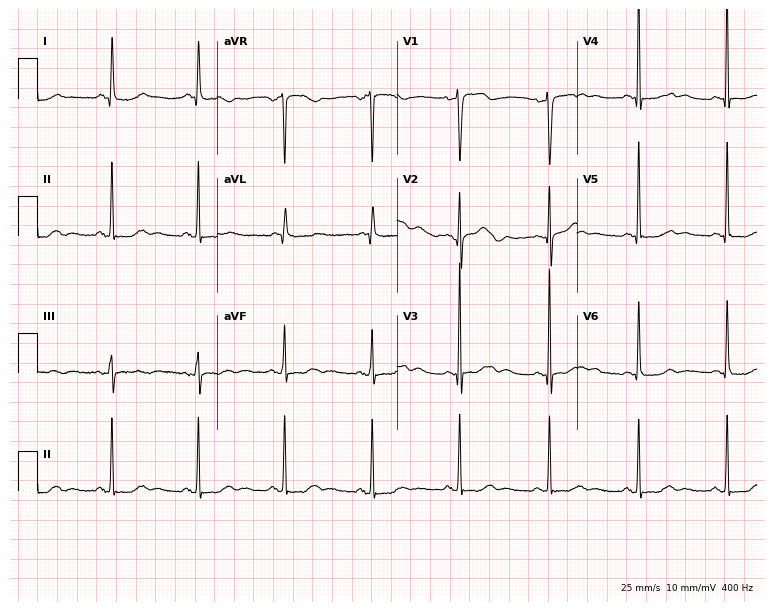
ECG (7.3-second recording at 400 Hz) — a female patient, 65 years old. Screened for six findings — first-degree AV block, right bundle branch block, left bundle branch block, sinus bradycardia, atrial fibrillation, sinus tachycardia — none is recorded.